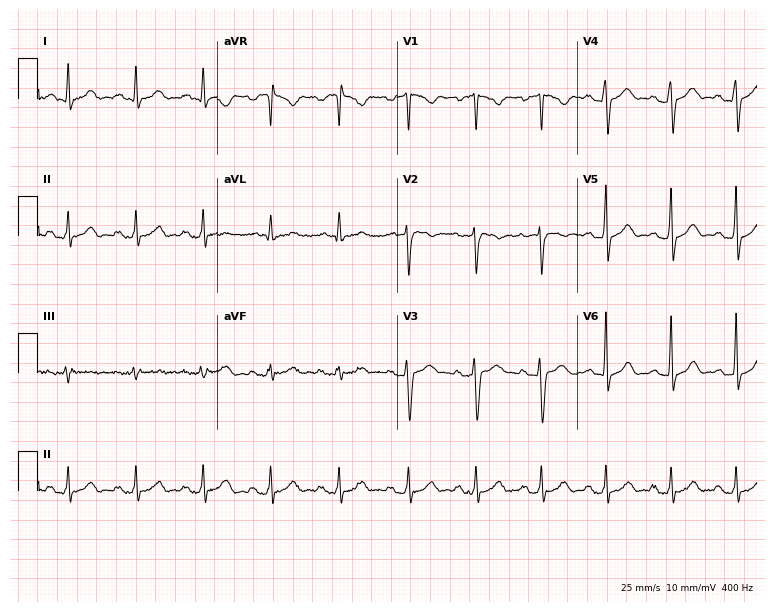
12-lead ECG (7.3-second recording at 400 Hz) from a man, 32 years old. Labelled as a normal ECG.